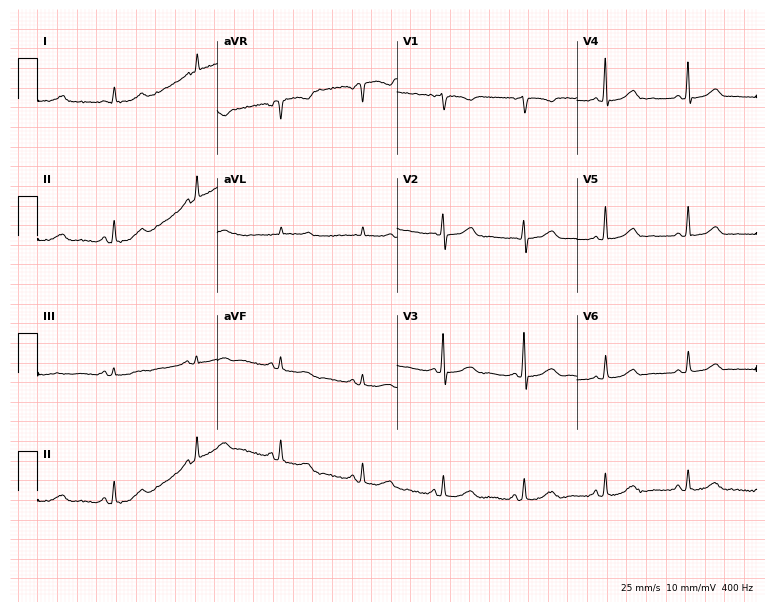
Electrocardiogram, a 44-year-old female patient. Of the six screened findings (first-degree AV block, right bundle branch block, left bundle branch block, sinus bradycardia, atrial fibrillation, sinus tachycardia), none is recorded. Other findings, if any, are not listed.